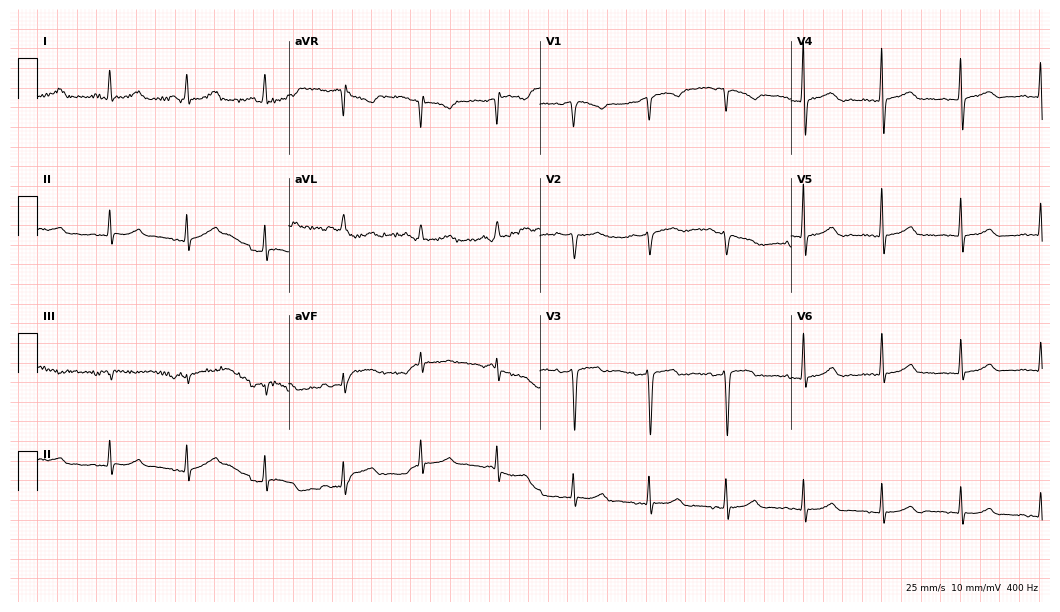
Standard 12-lead ECG recorded from a 66-year-old female patient (10.2-second recording at 400 Hz). Read as a normal ECG.